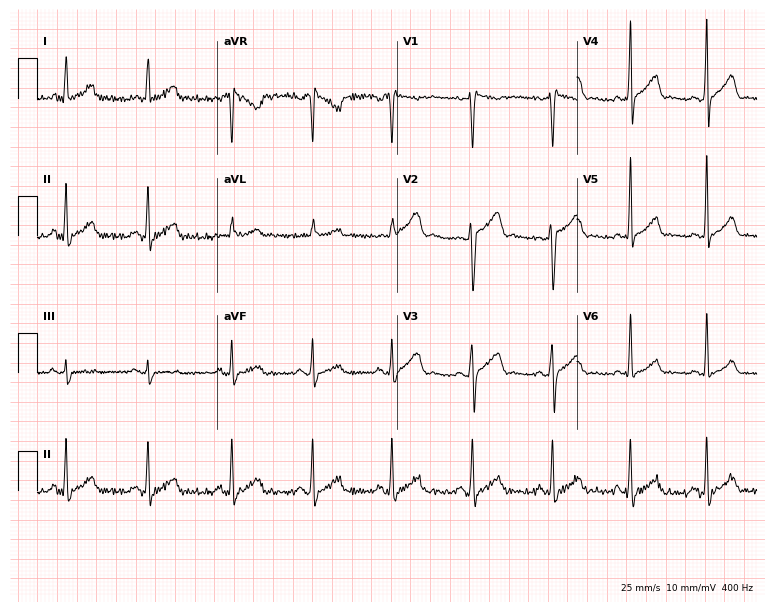
ECG (7.3-second recording at 400 Hz) — a 28-year-old male. Screened for six findings — first-degree AV block, right bundle branch block, left bundle branch block, sinus bradycardia, atrial fibrillation, sinus tachycardia — none is recorded. Only these six findings were labelled.